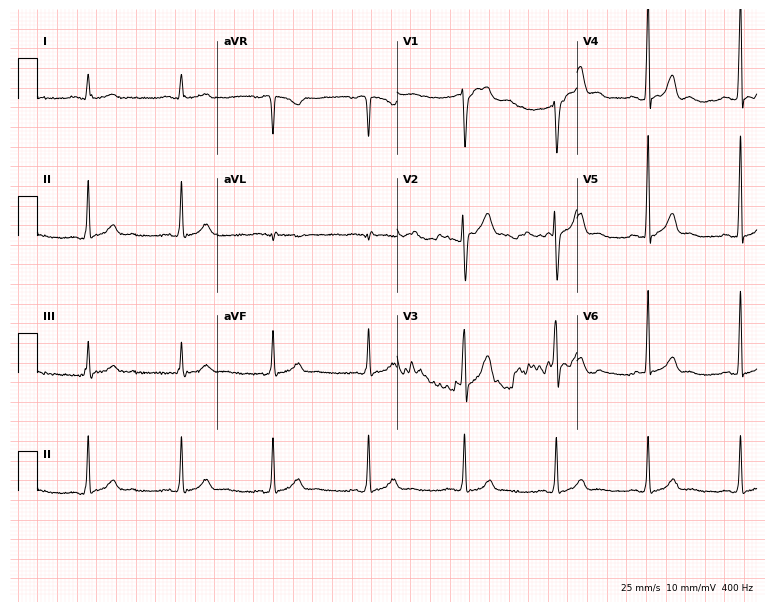
Electrocardiogram, a male, 28 years old. Overall reading on record: normal ECG.